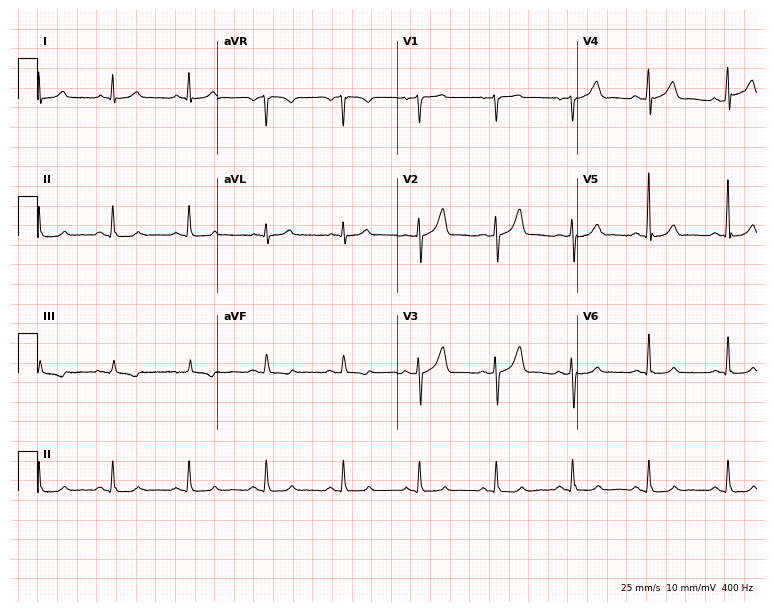
12-lead ECG from a man, 54 years old. Screened for six findings — first-degree AV block, right bundle branch block, left bundle branch block, sinus bradycardia, atrial fibrillation, sinus tachycardia — none is recorded.